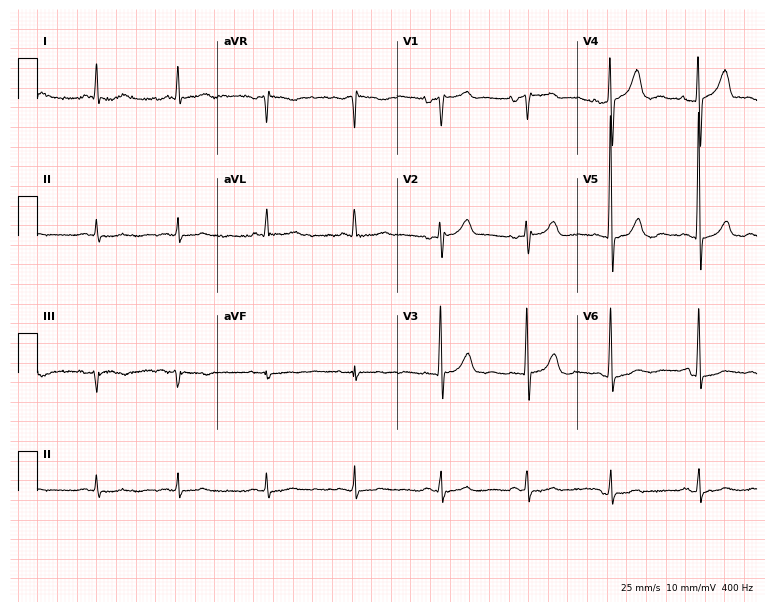
Standard 12-lead ECG recorded from a woman, 85 years old (7.3-second recording at 400 Hz). None of these six findings is recorded: first-degree AV block, right bundle branch block (RBBB), left bundle branch block (LBBB), sinus bradycardia, atrial fibrillation (AF), sinus tachycardia.